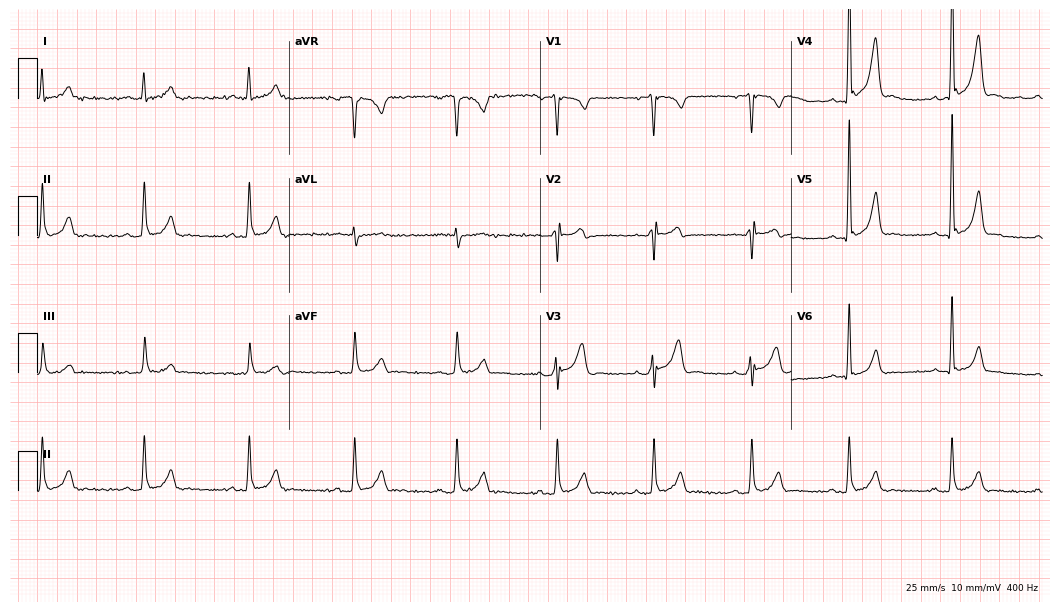
12-lead ECG from a 41-year-old male. No first-degree AV block, right bundle branch block, left bundle branch block, sinus bradycardia, atrial fibrillation or sinus tachycardia recorded for this tracing.